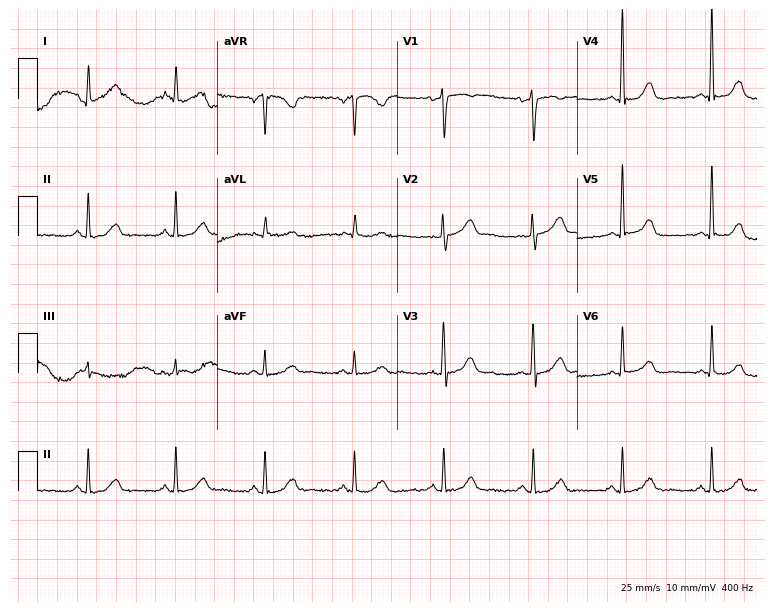
12-lead ECG from a woman, 75 years old (7.3-second recording at 400 Hz). Recorded interpretation: within normal limits.